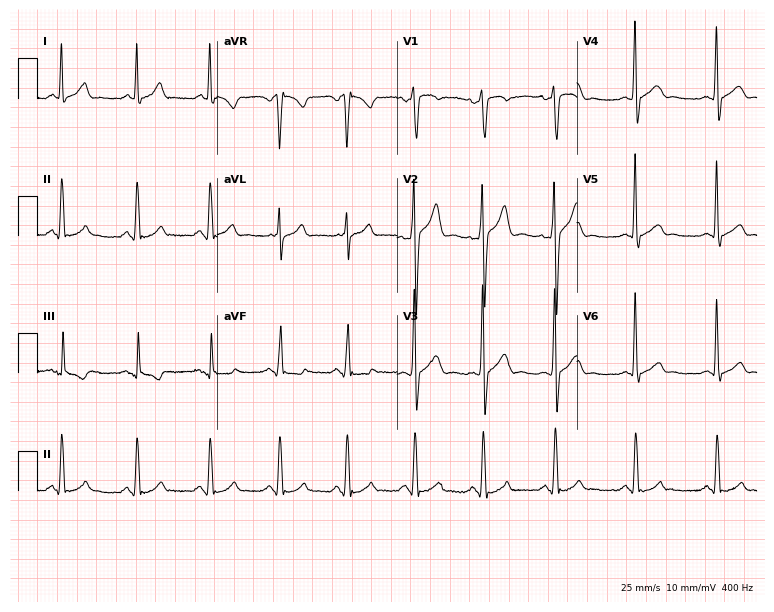
12-lead ECG (7.3-second recording at 400 Hz) from a male, 42 years old. Labelled as a normal ECG.